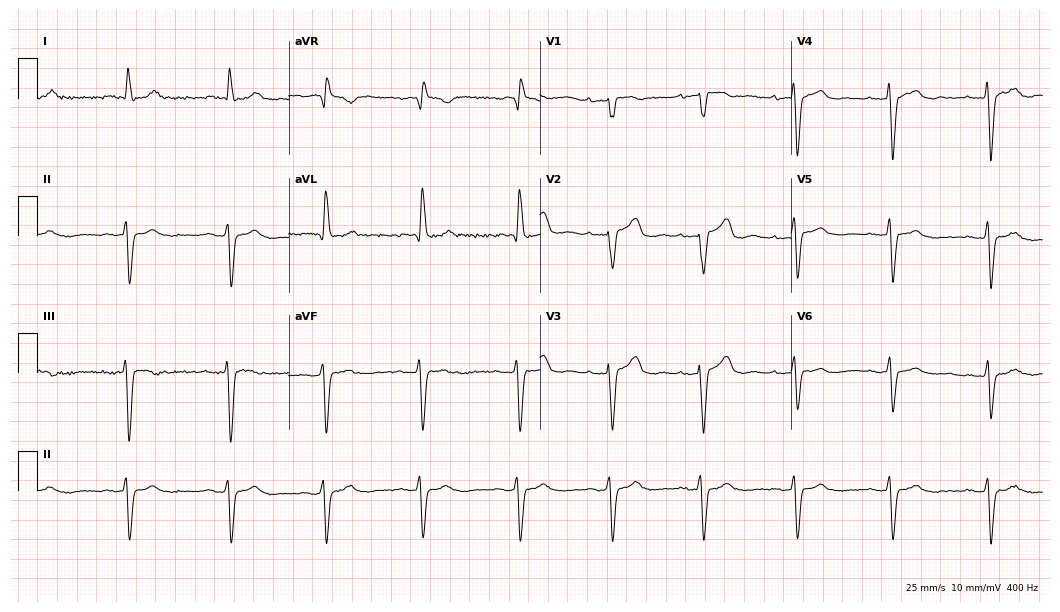
Electrocardiogram (10.2-second recording at 400 Hz), a female patient, 68 years old. Interpretation includes left bundle branch block.